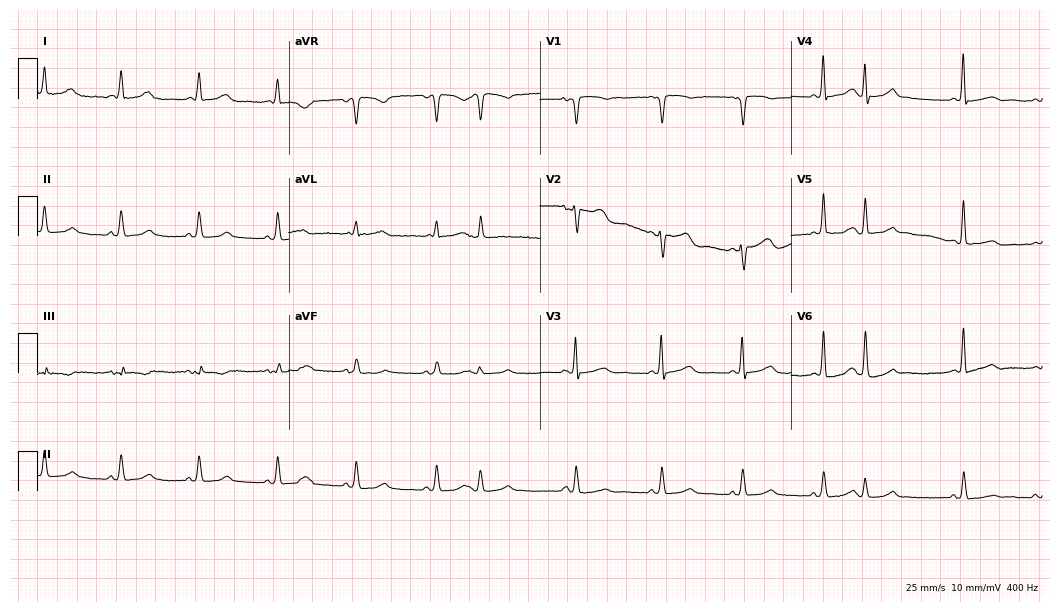
Resting 12-lead electrocardiogram (10.2-second recording at 400 Hz). Patient: a female, 69 years old. None of these six findings is recorded: first-degree AV block, right bundle branch block, left bundle branch block, sinus bradycardia, atrial fibrillation, sinus tachycardia. Only these six findings were labelled.